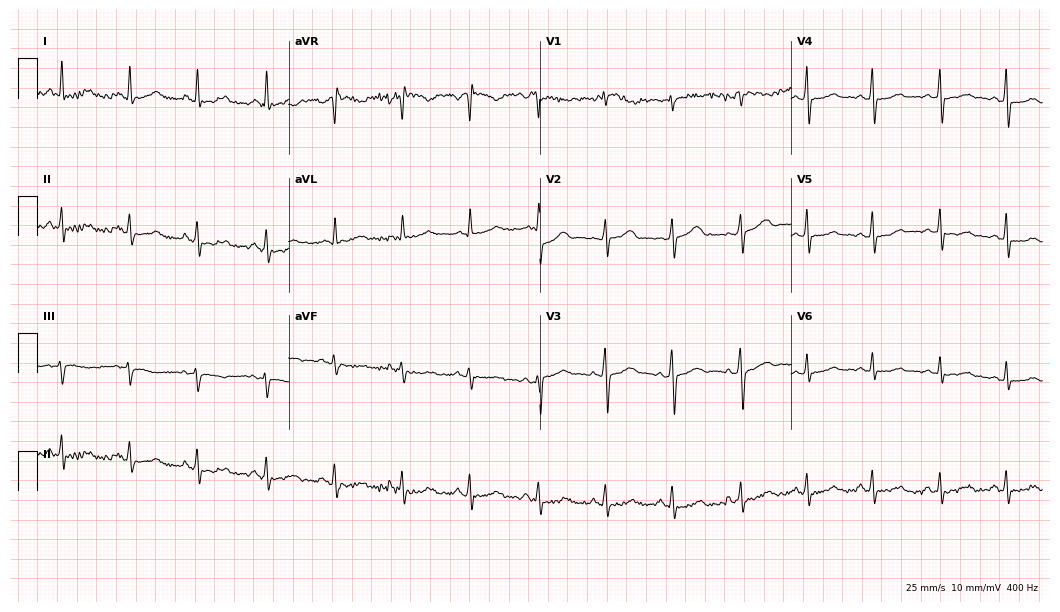
Standard 12-lead ECG recorded from a female patient, 40 years old (10.2-second recording at 400 Hz). None of these six findings is recorded: first-degree AV block, right bundle branch block, left bundle branch block, sinus bradycardia, atrial fibrillation, sinus tachycardia. Only these six findings were labelled.